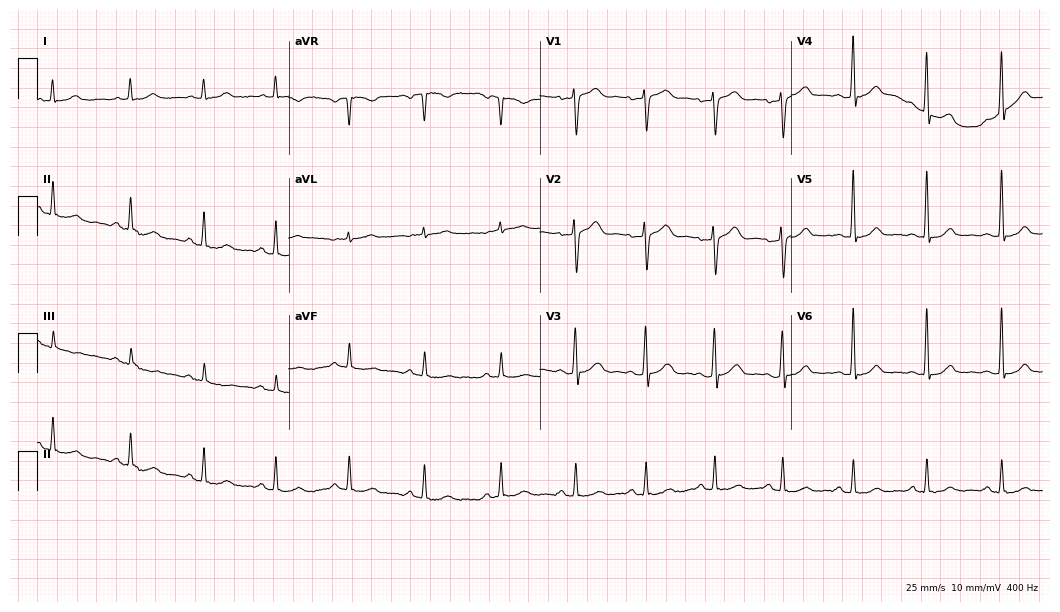
Resting 12-lead electrocardiogram (10.2-second recording at 400 Hz). Patient: a 52-year-old male. None of these six findings is recorded: first-degree AV block, right bundle branch block, left bundle branch block, sinus bradycardia, atrial fibrillation, sinus tachycardia. Findings outside these six are not listed.